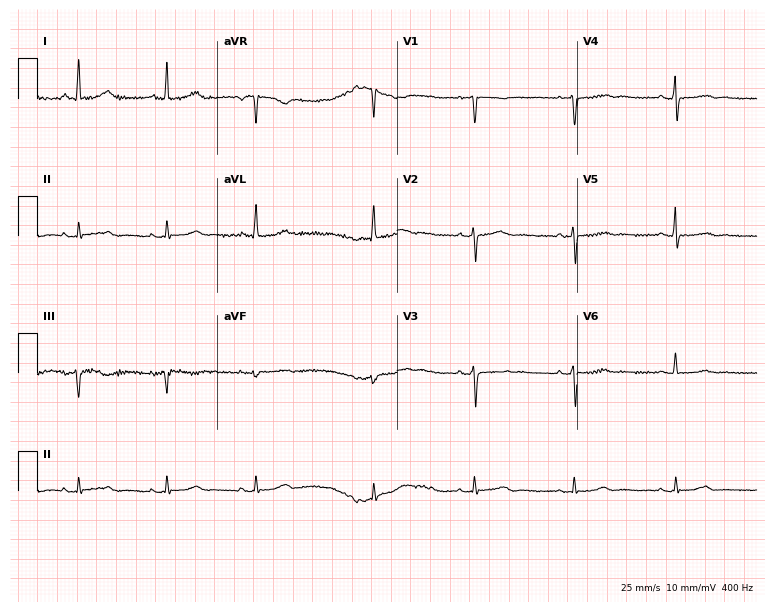
Resting 12-lead electrocardiogram (7.3-second recording at 400 Hz). Patient: a female, 67 years old. None of these six findings is recorded: first-degree AV block, right bundle branch block, left bundle branch block, sinus bradycardia, atrial fibrillation, sinus tachycardia. Other findings, if any, are not listed.